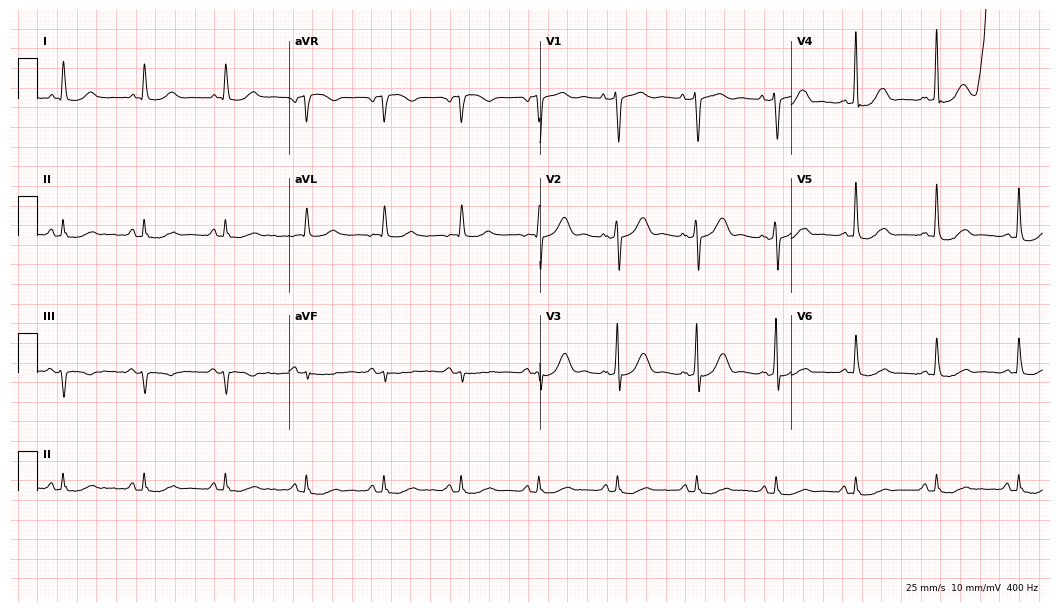
Electrocardiogram (10.2-second recording at 400 Hz), a 78-year-old man. Of the six screened findings (first-degree AV block, right bundle branch block (RBBB), left bundle branch block (LBBB), sinus bradycardia, atrial fibrillation (AF), sinus tachycardia), none is recorded.